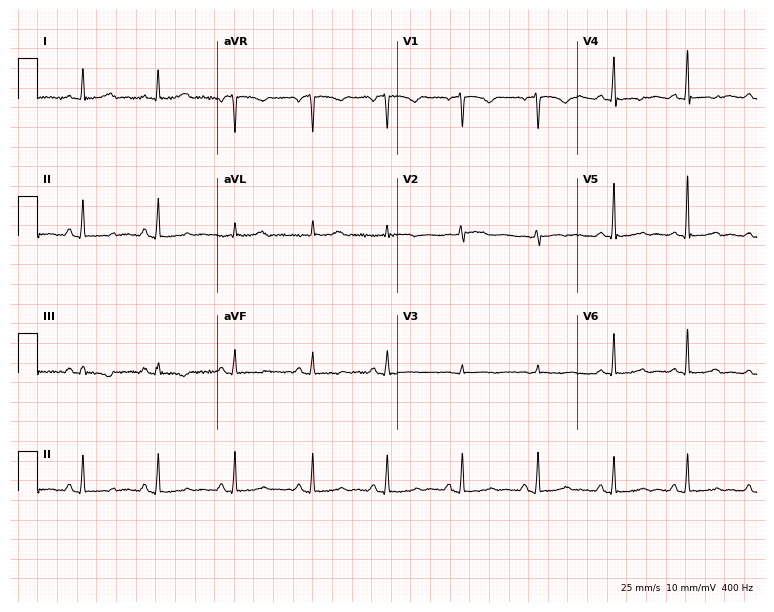
Standard 12-lead ECG recorded from a woman, 60 years old. None of these six findings is recorded: first-degree AV block, right bundle branch block (RBBB), left bundle branch block (LBBB), sinus bradycardia, atrial fibrillation (AF), sinus tachycardia.